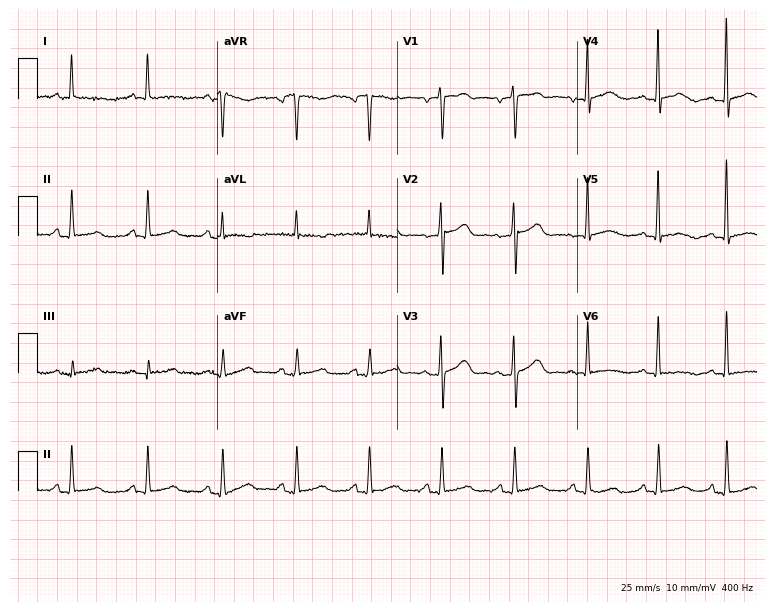
12-lead ECG from a 62-year-old female patient. Screened for six findings — first-degree AV block, right bundle branch block, left bundle branch block, sinus bradycardia, atrial fibrillation, sinus tachycardia — none is recorded. Findings outside these six are not listed.